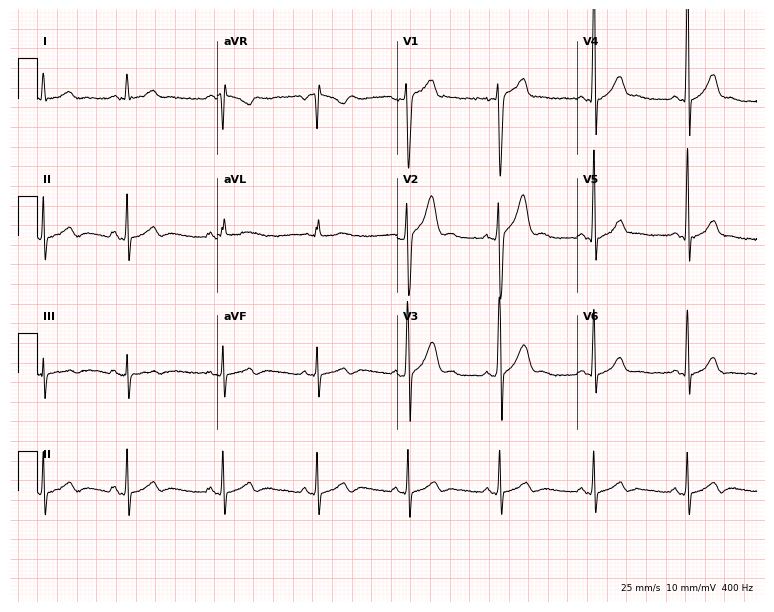
12-lead ECG from a 19-year-old male patient (7.3-second recording at 400 Hz). No first-degree AV block, right bundle branch block, left bundle branch block, sinus bradycardia, atrial fibrillation or sinus tachycardia recorded for this tracing.